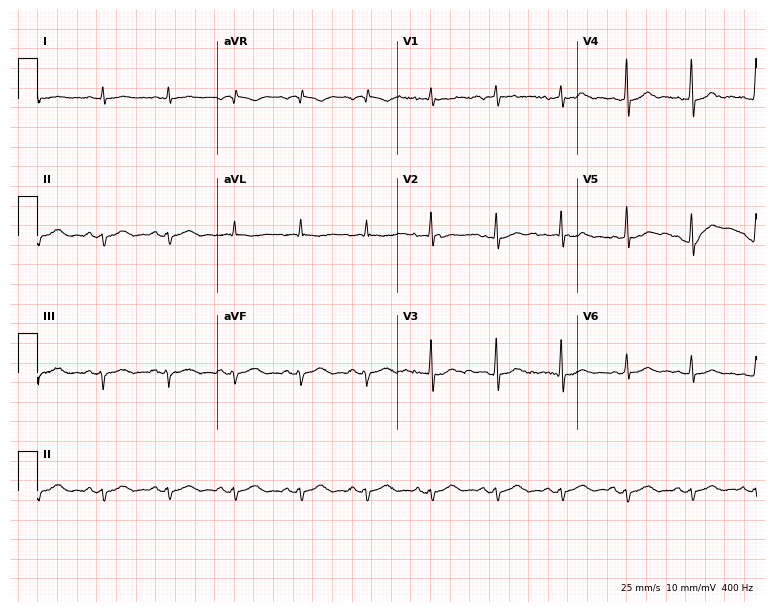
Electrocardiogram (7.3-second recording at 400 Hz), a male patient, 67 years old. Of the six screened findings (first-degree AV block, right bundle branch block, left bundle branch block, sinus bradycardia, atrial fibrillation, sinus tachycardia), none is recorded. Only these six findings were labelled.